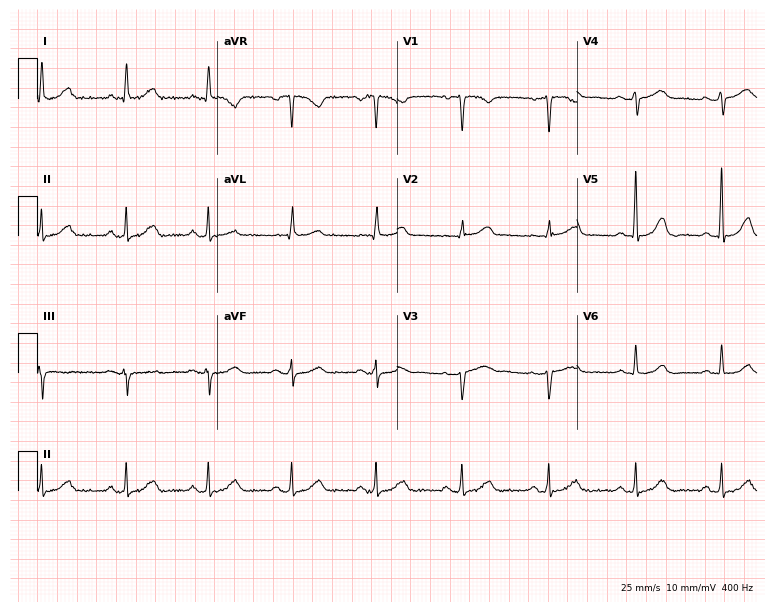
Resting 12-lead electrocardiogram (7.3-second recording at 400 Hz). Patient: a female, 59 years old. Read as a normal ECG.